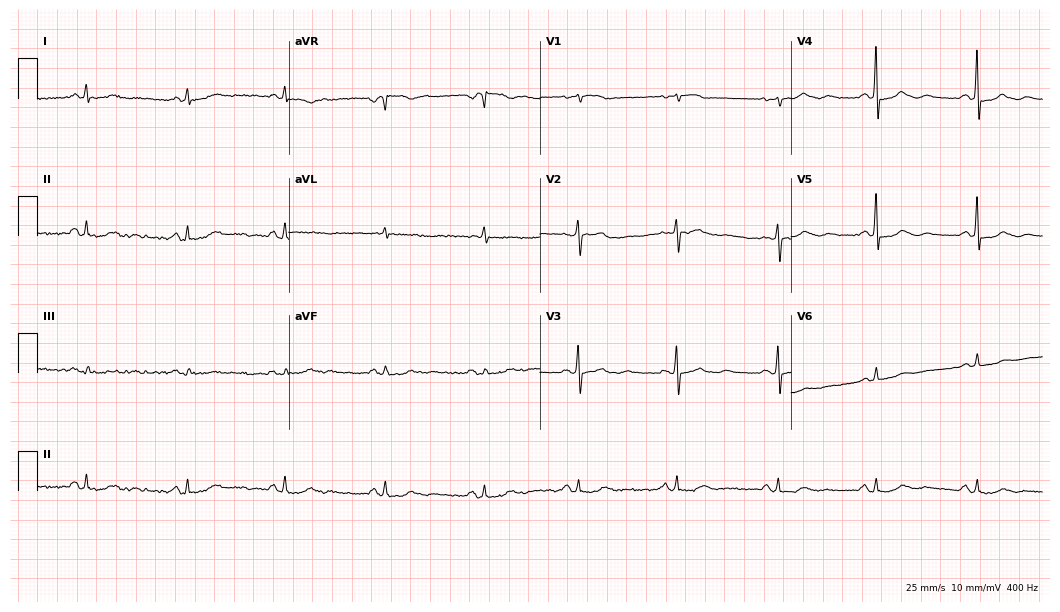
Resting 12-lead electrocardiogram (10.2-second recording at 400 Hz). Patient: an 82-year-old female. None of these six findings is recorded: first-degree AV block, right bundle branch block, left bundle branch block, sinus bradycardia, atrial fibrillation, sinus tachycardia. Only these six findings were labelled.